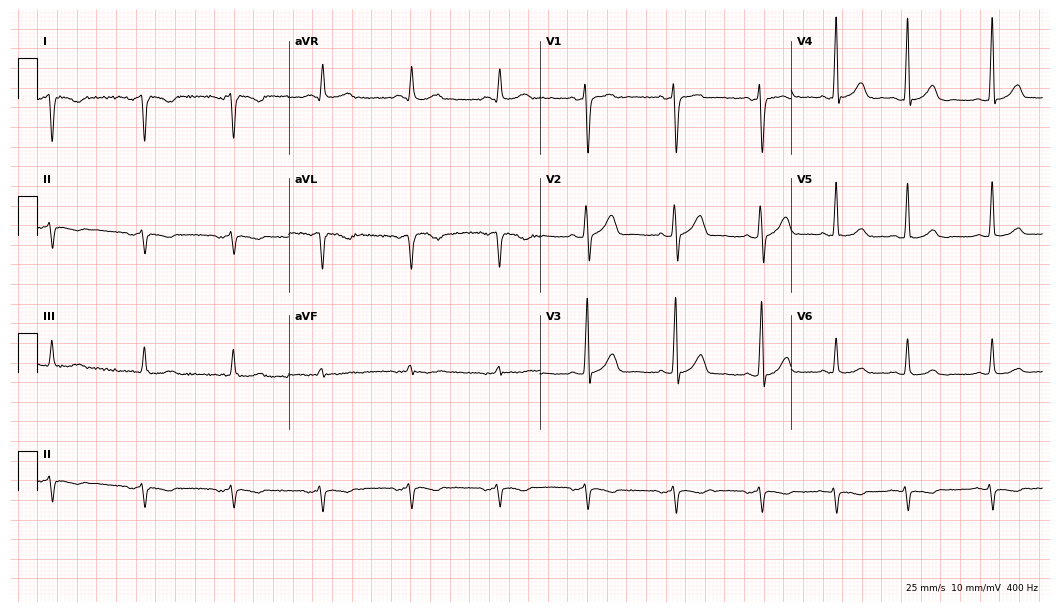
12-lead ECG from a 53-year-old man. Screened for six findings — first-degree AV block, right bundle branch block (RBBB), left bundle branch block (LBBB), sinus bradycardia, atrial fibrillation (AF), sinus tachycardia — none is recorded.